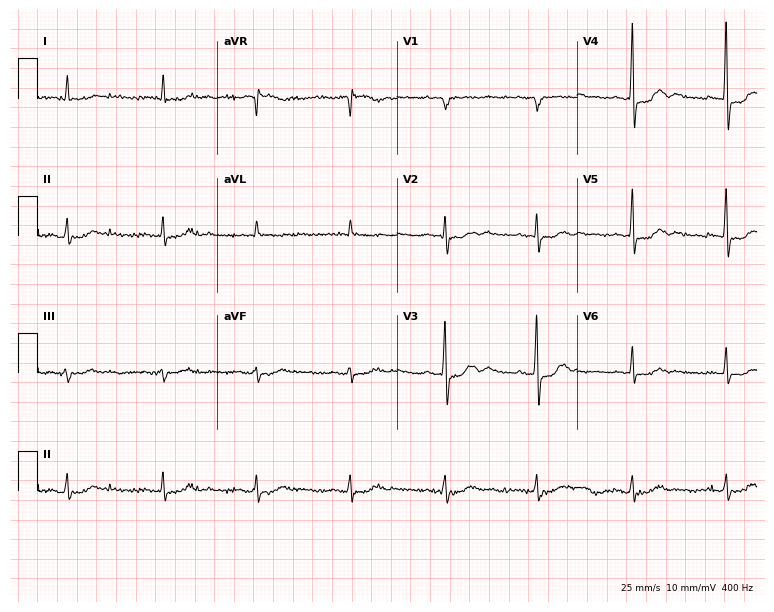
Electrocardiogram (7.3-second recording at 400 Hz), a female patient, 82 years old. Of the six screened findings (first-degree AV block, right bundle branch block, left bundle branch block, sinus bradycardia, atrial fibrillation, sinus tachycardia), none is recorded.